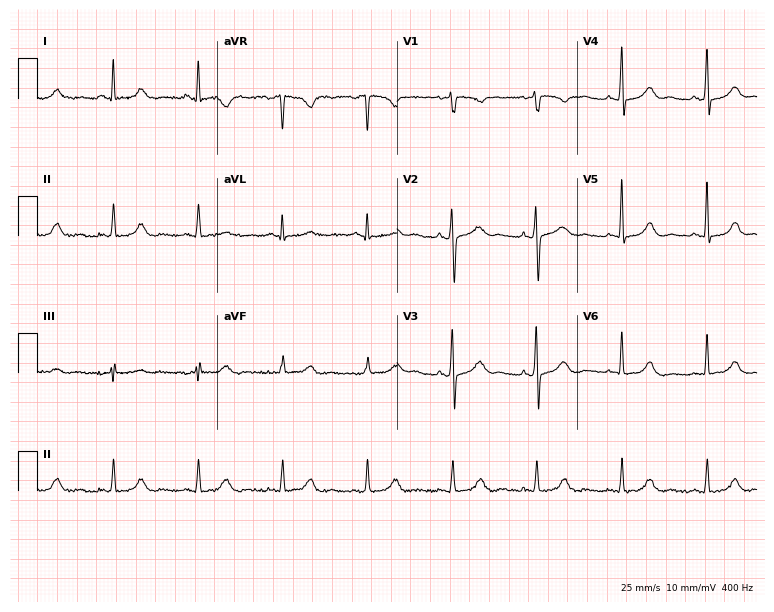
12-lead ECG from a woman, 47 years old. Recorded interpretation: within normal limits.